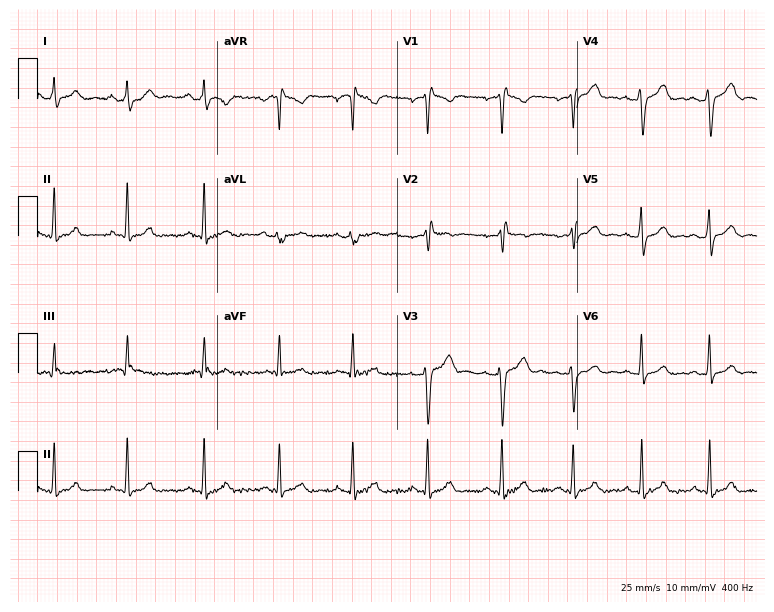
ECG (7.3-second recording at 400 Hz) — a man, 29 years old. Screened for six findings — first-degree AV block, right bundle branch block, left bundle branch block, sinus bradycardia, atrial fibrillation, sinus tachycardia — none is recorded. Only these six findings were labelled.